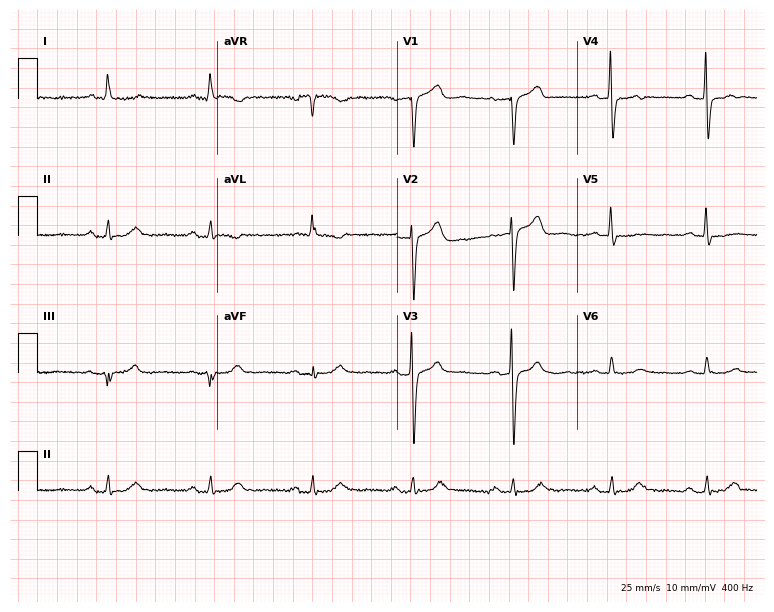
12-lead ECG (7.3-second recording at 400 Hz) from a 63-year-old man. Labelled as a normal ECG.